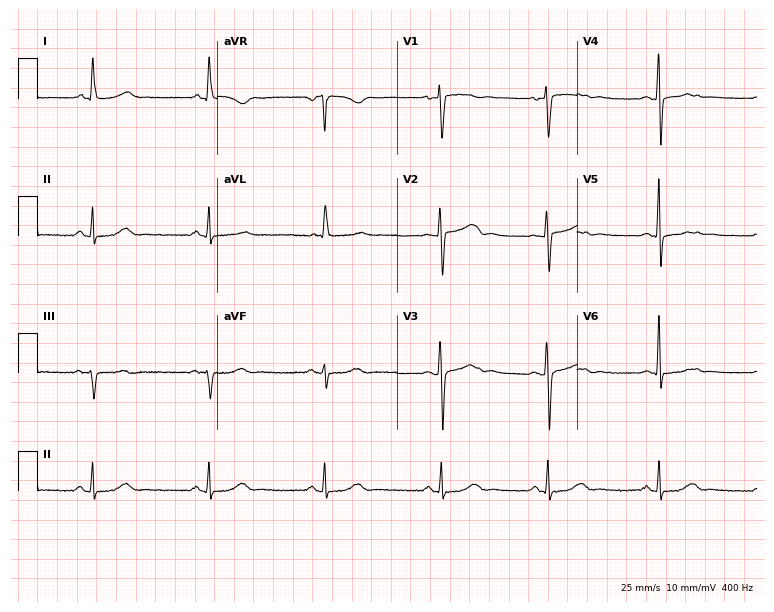
Resting 12-lead electrocardiogram. Patient: a 46-year-old woman. Read as a normal ECG.